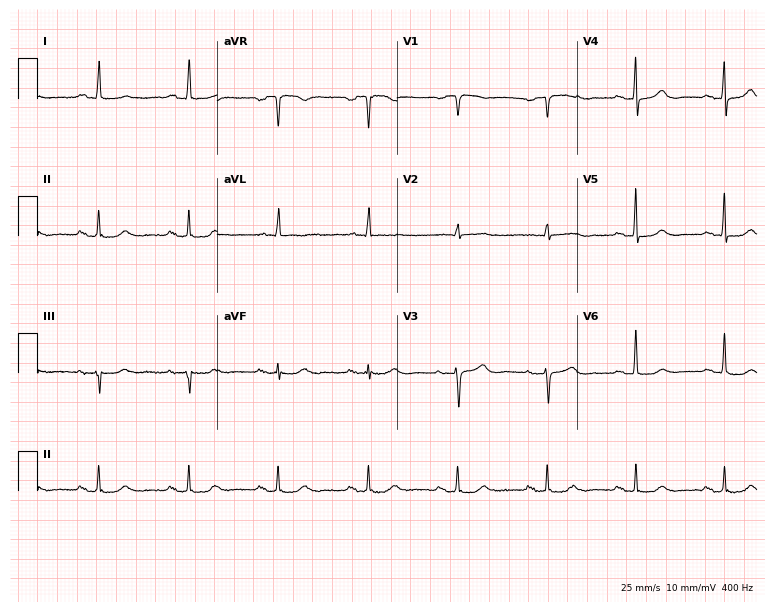
Standard 12-lead ECG recorded from a 74-year-old woman. Read as a normal ECG.